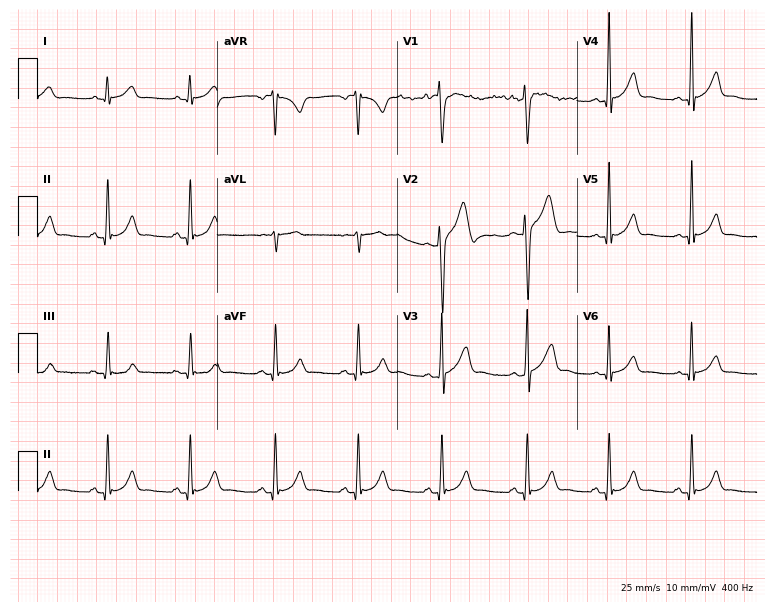
12-lead ECG (7.3-second recording at 400 Hz) from a female patient, 42 years old. Labelled as a normal ECG.